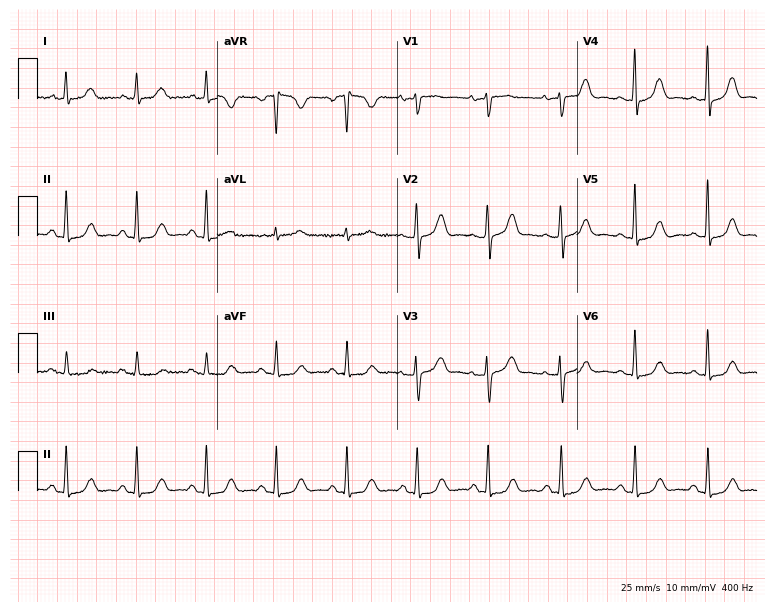
12-lead ECG from a woman, 51 years old. Recorded interpretation: within normal limits.